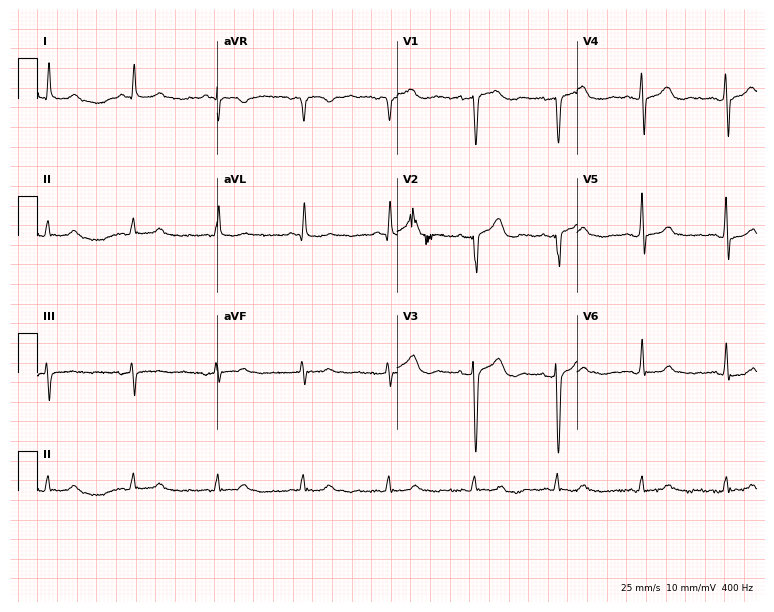
12-lead ECG from a male patient, 81 years old (7.3-second recording at 400 Hz). Recorded interpretation: within normal limits.